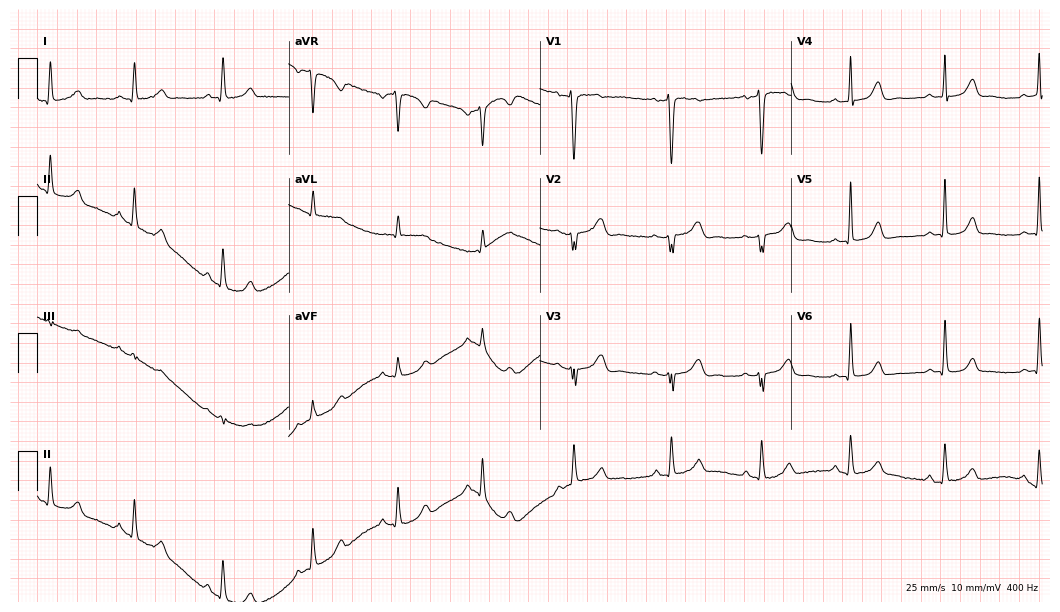
Standard 12-lead ECG recorded from a female, 42 years old (10.2-second recording at 400 Hz). None of these six findings is recorded: first-degree AV block, right bundle branch block (RBBB), left bundle branch block (LBBB), sinus bradycardia, atrial fibrillation (AF), sinus tachycardia. Findings outside these six are not listed.